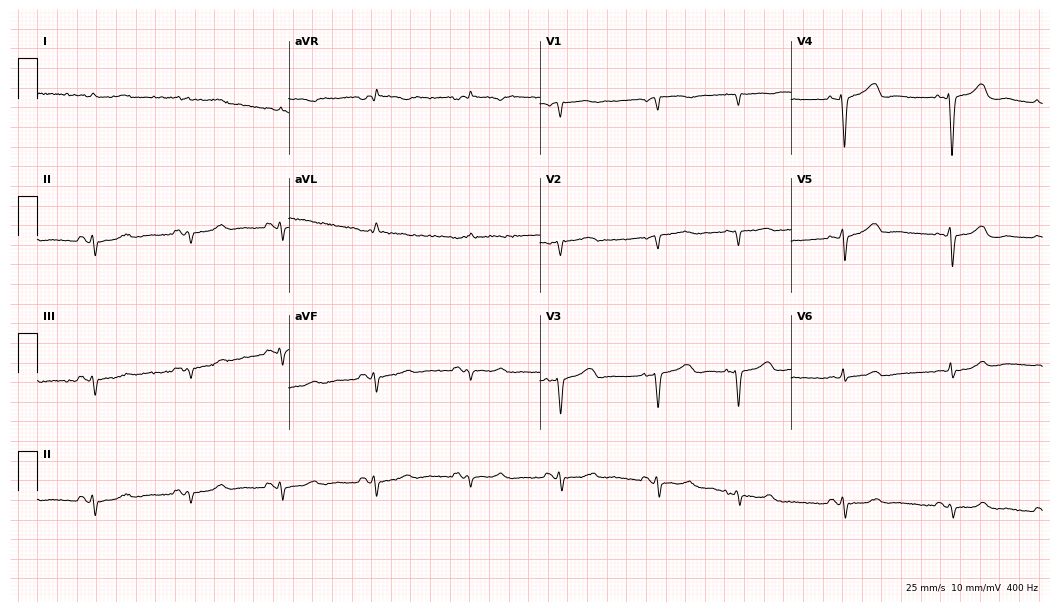
12-lead ECG from a male patient, 76 years old. Screened for six findings — first-degree AV block, right bundle branch block, left bundle branch block, sinus bradycardia, atrial fibrillation, sinus tachycardia — none is recorded. Other findings, if any, are not listed.